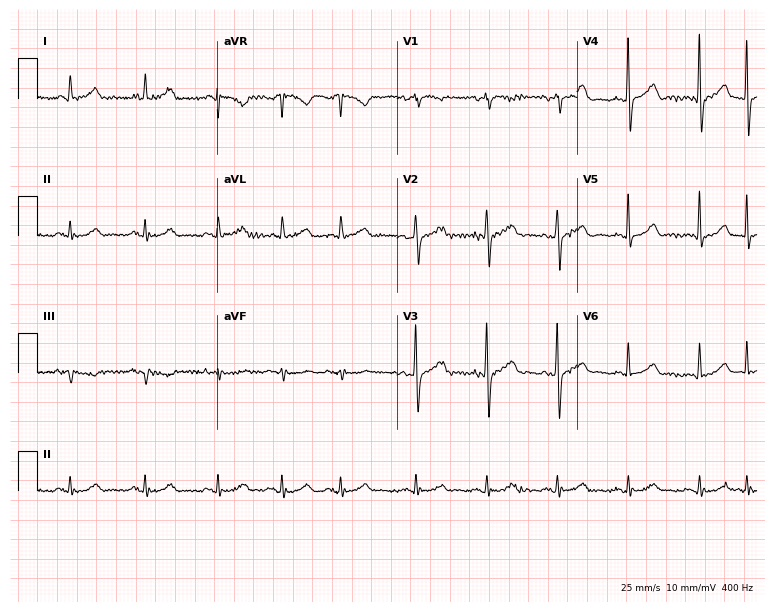
ECG — a 73-year-old man. Screened for six findings — first-degree AV block, right bundle branch block, left bundle branch block, sinus bradycardia, atrial fibrillation, sinus tachycardia — none is recorded. Only these six findings were labelled.